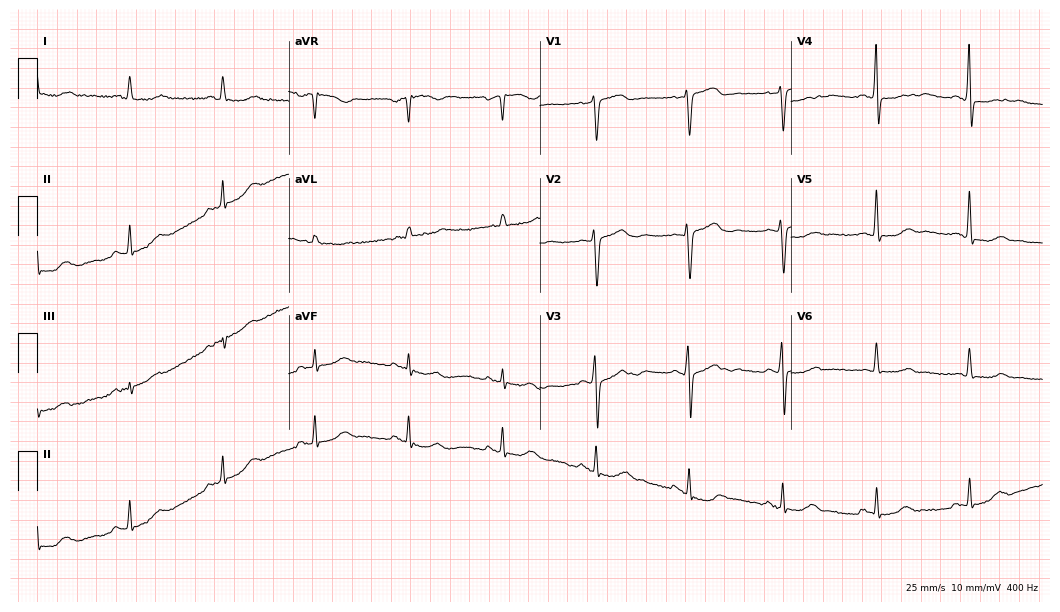
ECG (10.2-second recording at 400 Hz) — a 60-year-old female. Screened for six findings — first-degree AV block, right bundle branch block, left bundle branch block, sinus bradycardia, atrial fibrillation, sinus tachycardia — none is recorded.